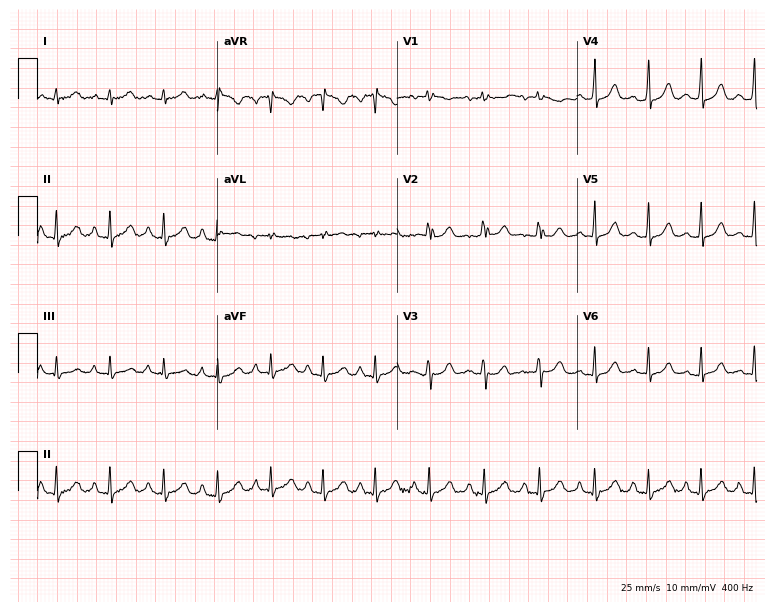
12-lead ECG from a female patient, 19 years old. Findings include sinus tachycardia (a sinus rate of 100 beats per minute or more).